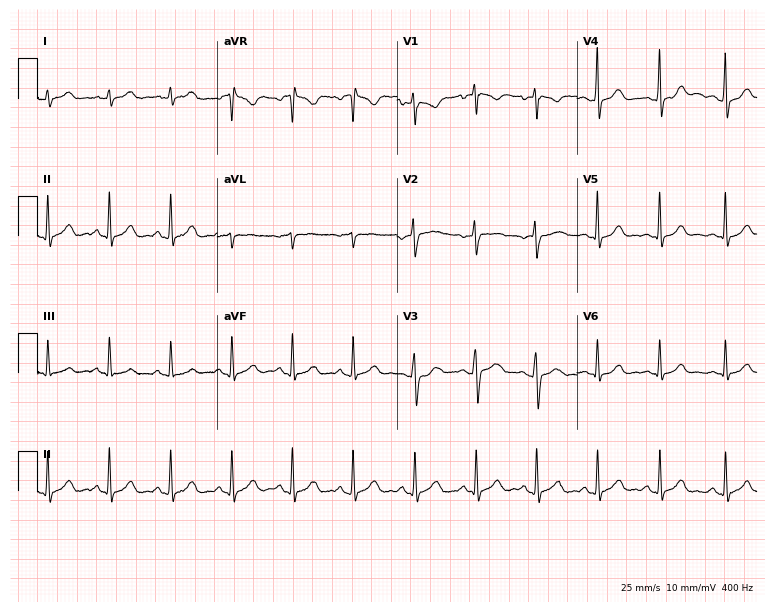
Resting 12-lead electrocardiogram. Patient: a woman, 29 years old. Read as a normal ECG.